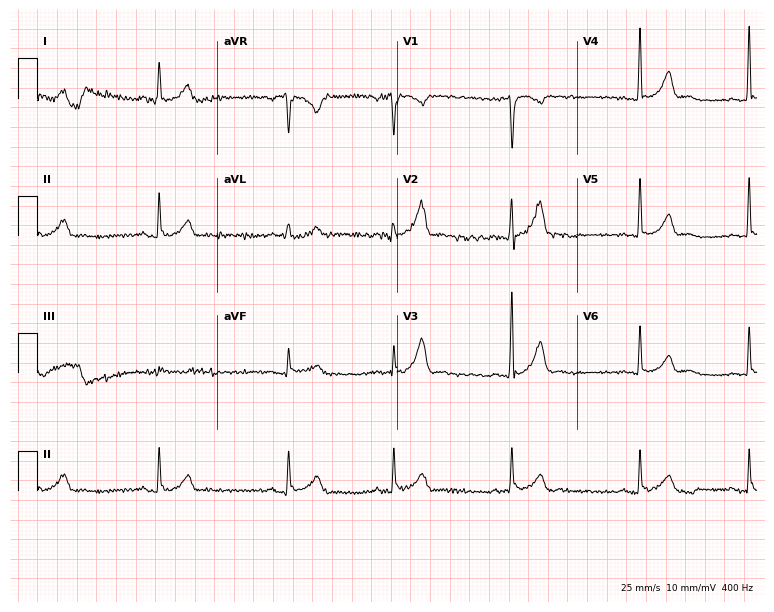
Electrocardiogram (7.3-second recording at 400 Hz), a 36-year-old man. Interpretation includes sinus bradycardia (a sinus rate of 50 beats per minute or less).